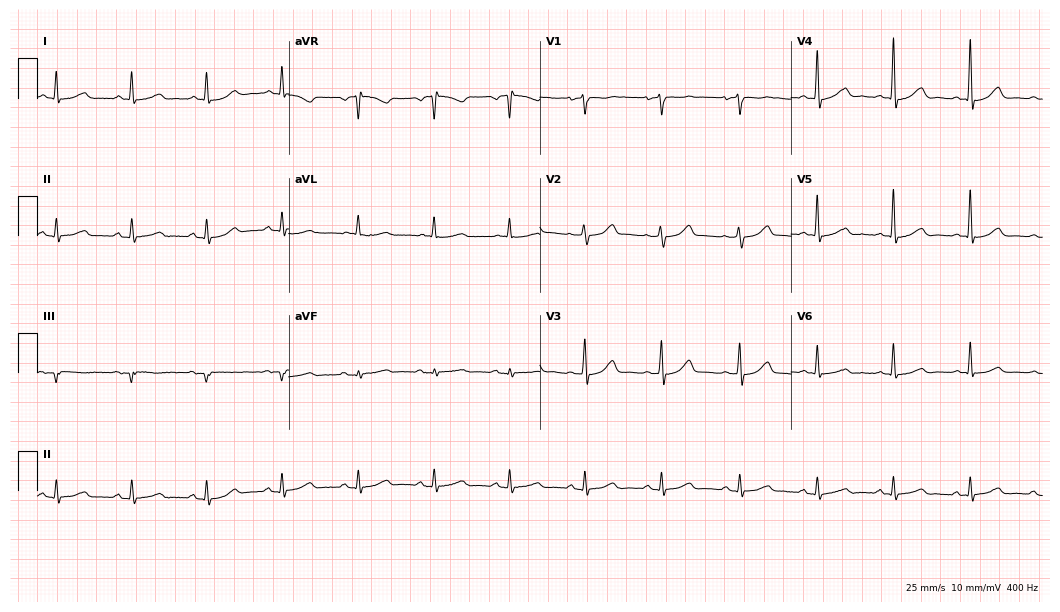
Electrocardiogram (10.2-second recording at 400 Hz), a woman, 74 years old. Of the six screened findings (first-degree AV block, right bundle branch block, left bundle branch block, sinus bradycardia, atrial fibrillation, sinus tachycardia), none is recorded.